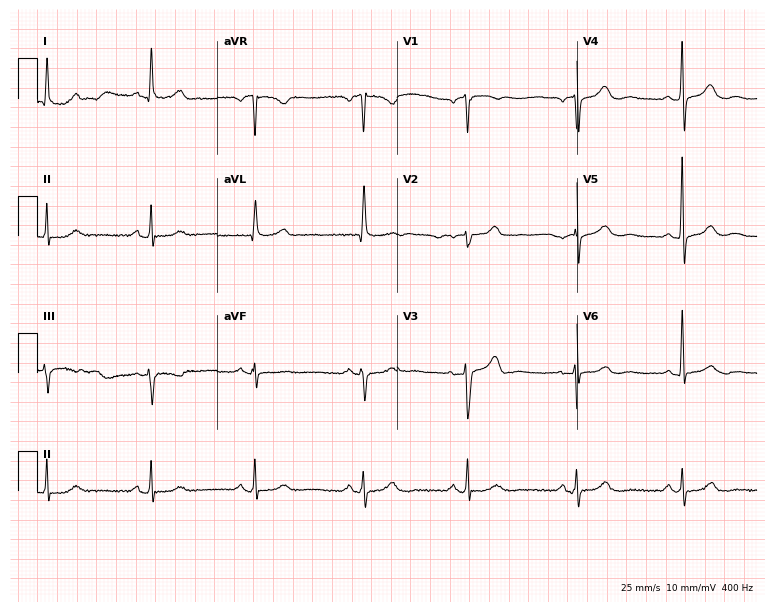
Electrocardiogram, a 78-year-old woman. Overall reading on record: normal ECG.